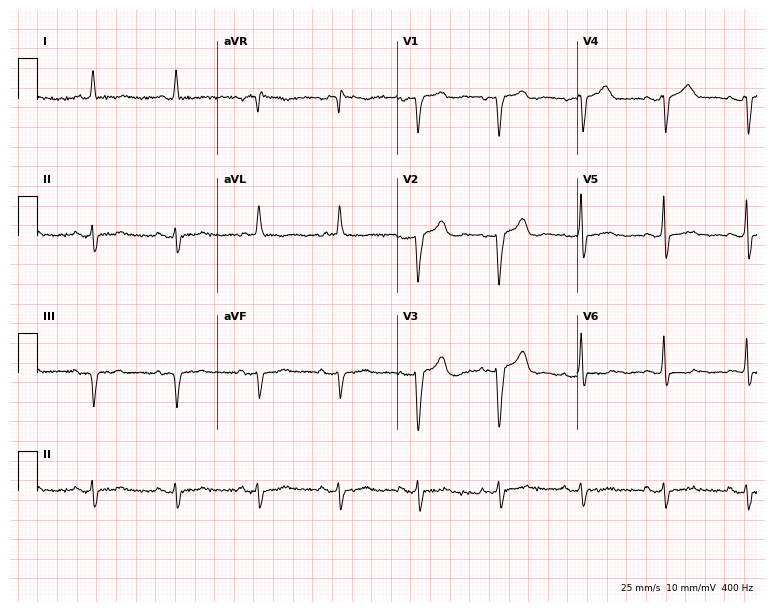
12-lead ECG from a female patient, 84 years old (7.3-second recording at 400 Hz). No first-degree AV block, right bundle branch block, left bundle branch block, sinus bradycardia, atrial fibrillation or sinus tachycardia recorded for this tracing. Findings outside these six are not listed.